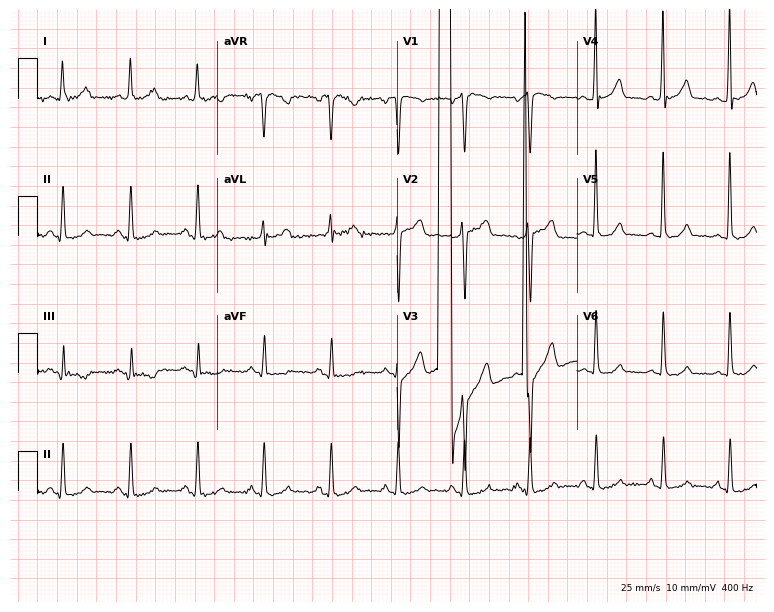
Resting 12-lead electrocardiogram (7.3-second recording at 400 Hz). Patient: a female, 49 years old. None of these six findings is recorded: first-degree AV block, right bundle branch block, left bundle branch block, sinus bradycardia, atrial fibrillation, sinus tachycardia.